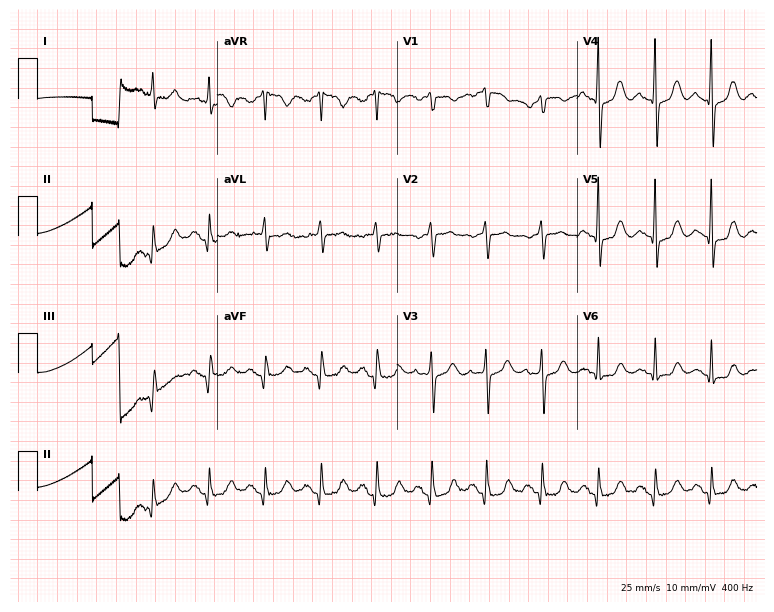
ECG — a female, 81 years old. Screened for six findings — first-degree AV block, right bundle branch block (RBBB), left bundle branch block (LBBB), sinus bradycardia, atrial fibrillation (AF), sinus tachycardia — none is recorded. Only these six findings were labelled.